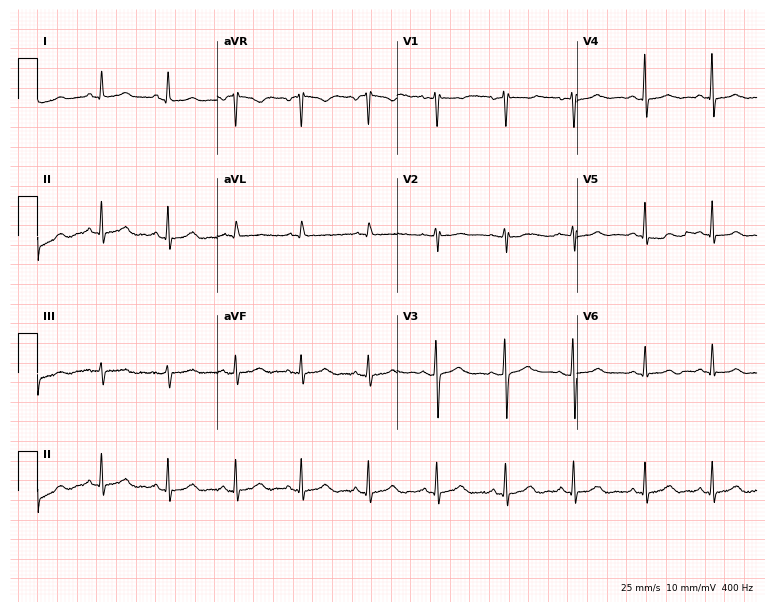
Standard 12-lead ECG recorded from a 55-year-old woman (7.3-second recording at 400 Hz). Read as a normal ECG.